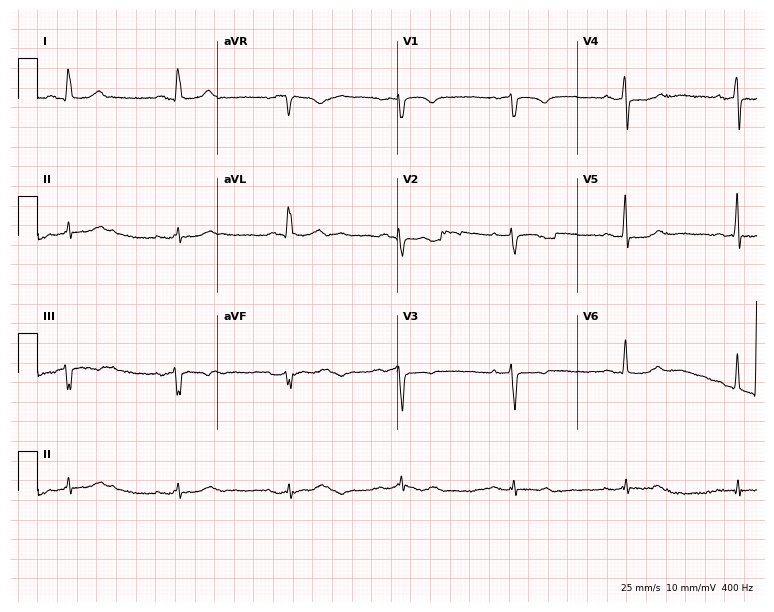
12-lead ECG from a female patient, 47 years old. Labelled as a normal ECG.